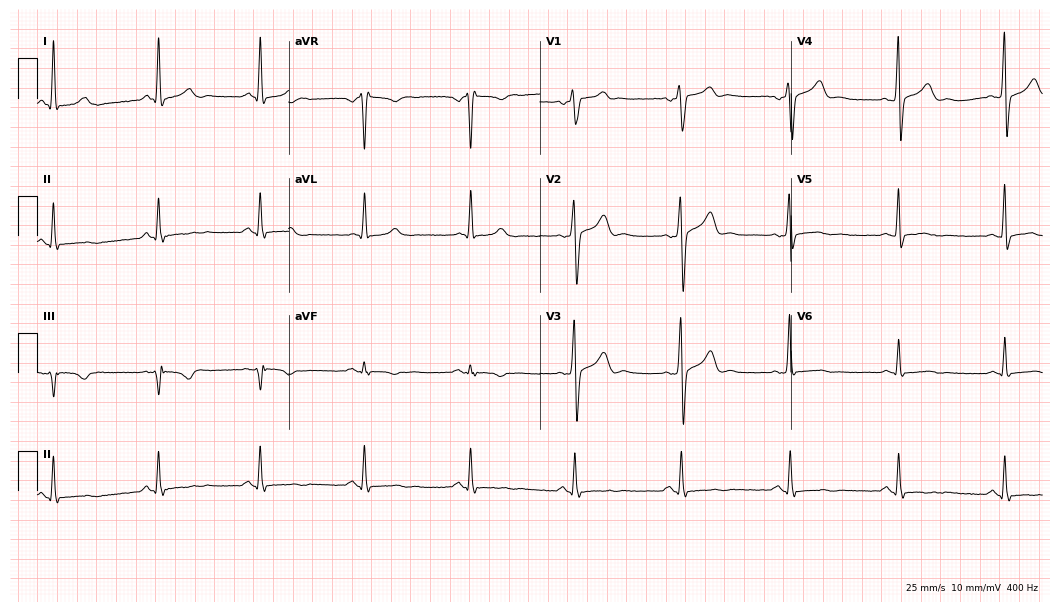
ECG — a 53-year-old female patient. Screened for six findings — first-degree AV block, right bundle branch block, left bundle branch block, sinus bradycardia, atrial fibrillation, sinus tachycardia — none is recorded. Findings outside these six are not listed.